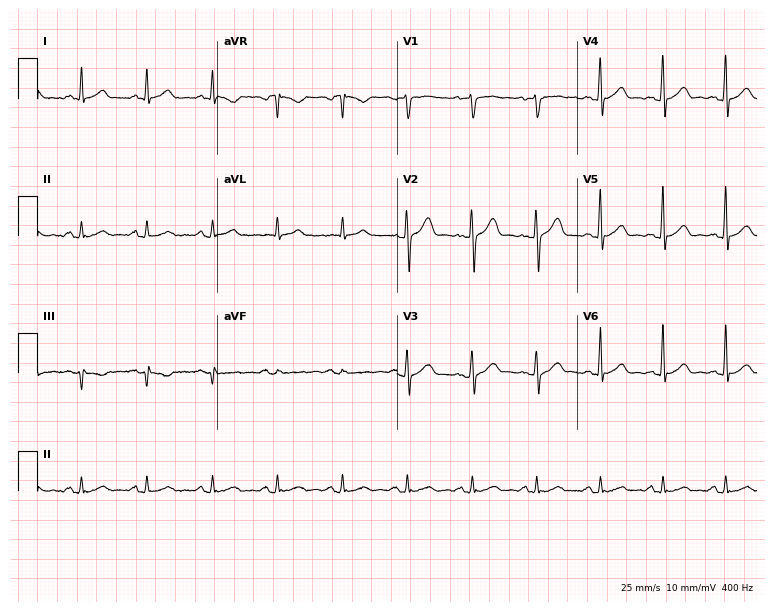
12-lead ECG from a male patient, 49 years old. Labelled as a normal ECG.